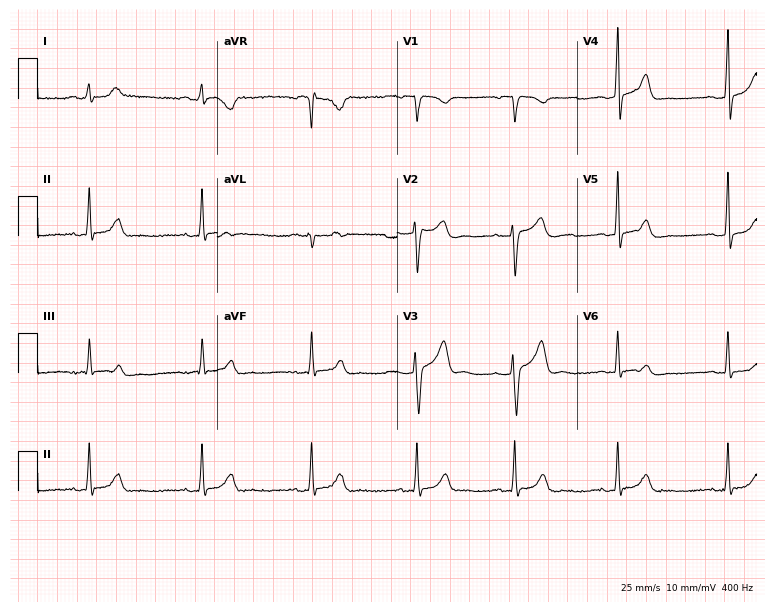
ECG — a male, 33 years old. Labelled as a normal ECG.